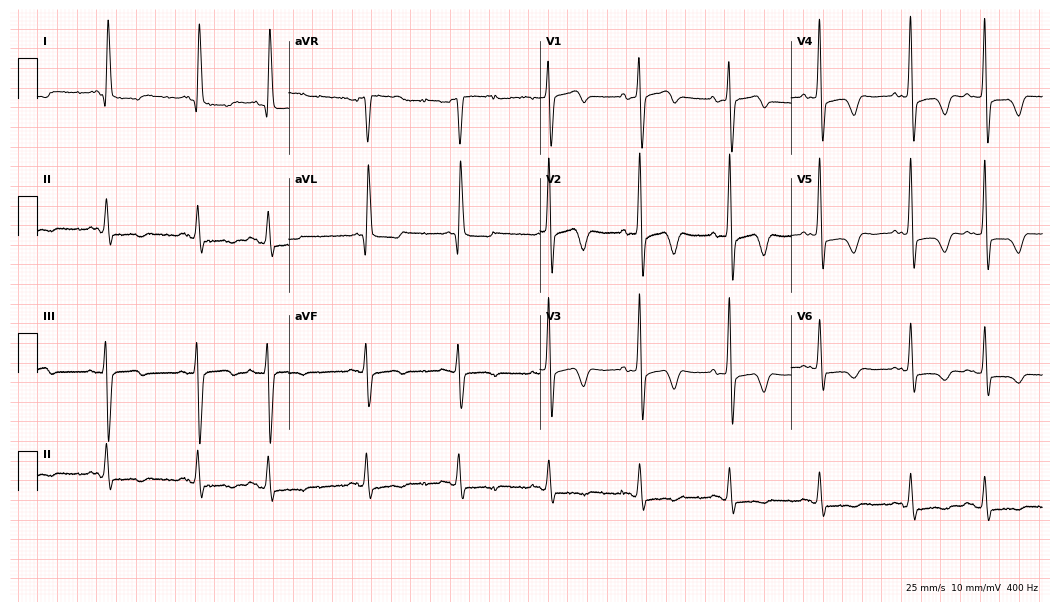
Standard 12-lead ECG recorded from a female, 73 years old. None of these six findings is recorded: first-degree AV block, right bundle branch block, left bundle branch block, sinus bradycardia, atrial fibrillation, sinus tachycardia.